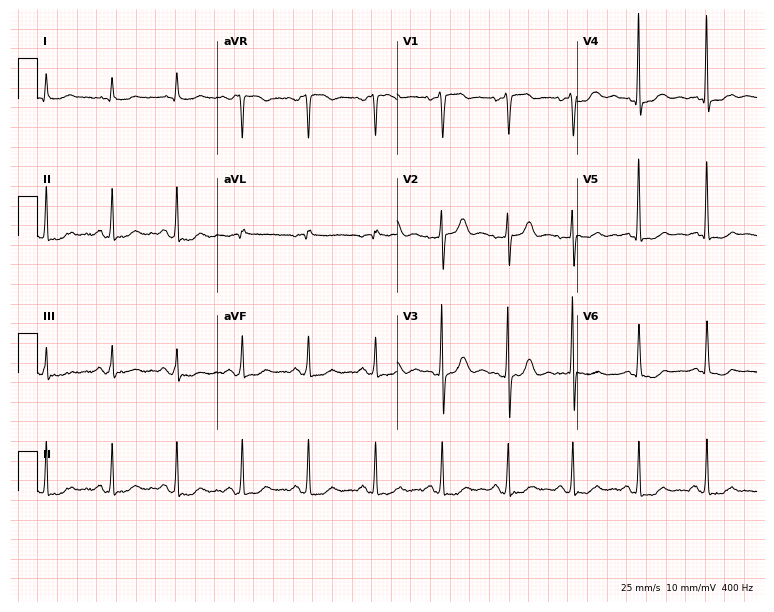
12-lead ECG from a male, 69 years old. Screened for six findings — first-degree AV block, right bundle branch block, left bundle branch block, sinus bradycardia, atrial fibrillation, sinus tachycardia — none is recorded. Other findings, if any, are not listed.